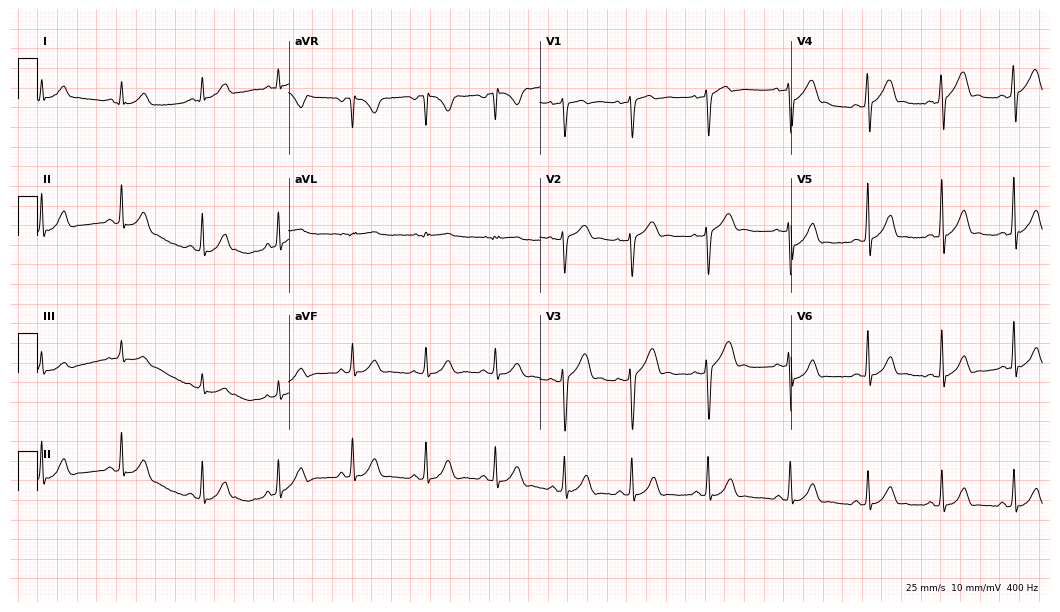
12-lead ECG from a male patient, 19 years old. Recorded interpretation: within normal limits.